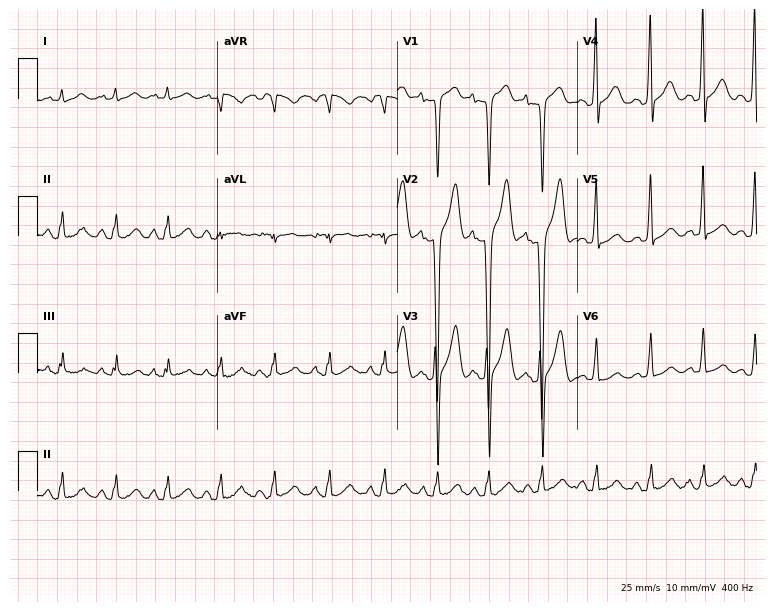
Resting 12-lead electrocardiogram (7.3-second recording at 400 Hz). Patient: a 19-year-old man. The tracing shows sinus tachycardia (a sinus rate of 100 beats per minute or more).